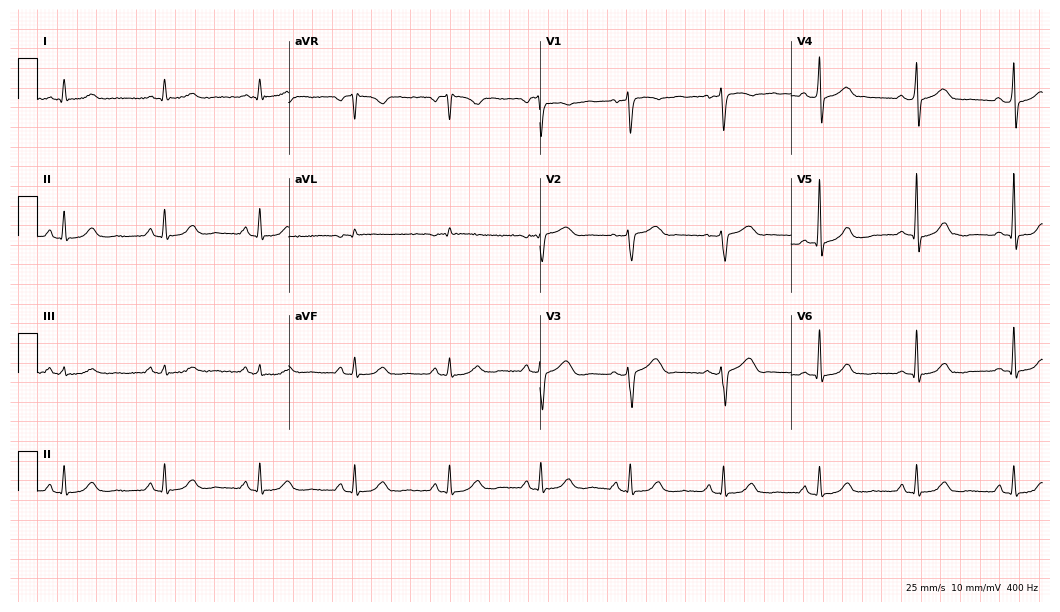
12-lead ECG (10.2-second recording at 400 Hz) from a 47-year-old woman. Screened for six findings — first-degree AV block, right bundle branch block (RBBB), left bundle branch block (LBBB), sinus bradycardia, atrial fibrillation (AF), sinus tachycardia — none is recorded. Other findings, if any, are not listed.